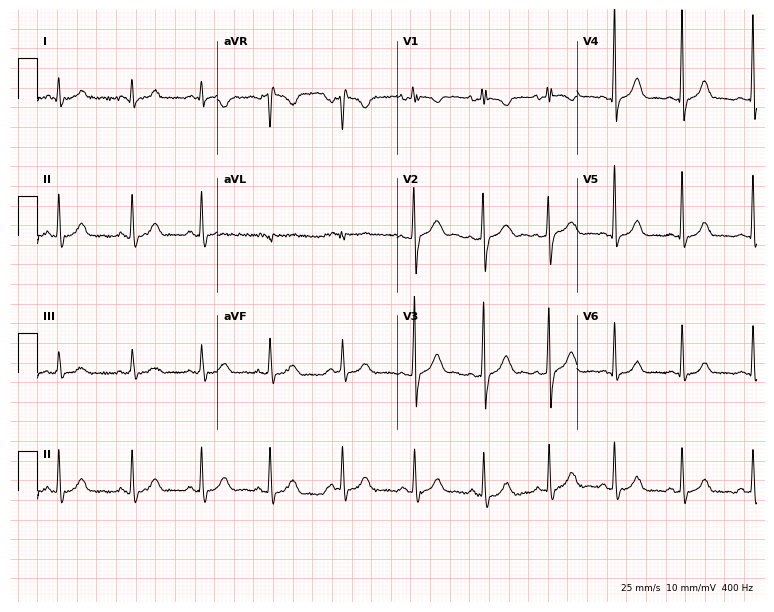
Resting 12-lead electrocardiogram (7.3-second recording at 400 Hz). Patient: a female, 27 years old. None of these six findings is recorded: first-degree AV block, right bundle branch block, left bundle branch block, sinus bradycardia, atrial fibrillation, sinus tachycardia. Findings outside these six are not listed.